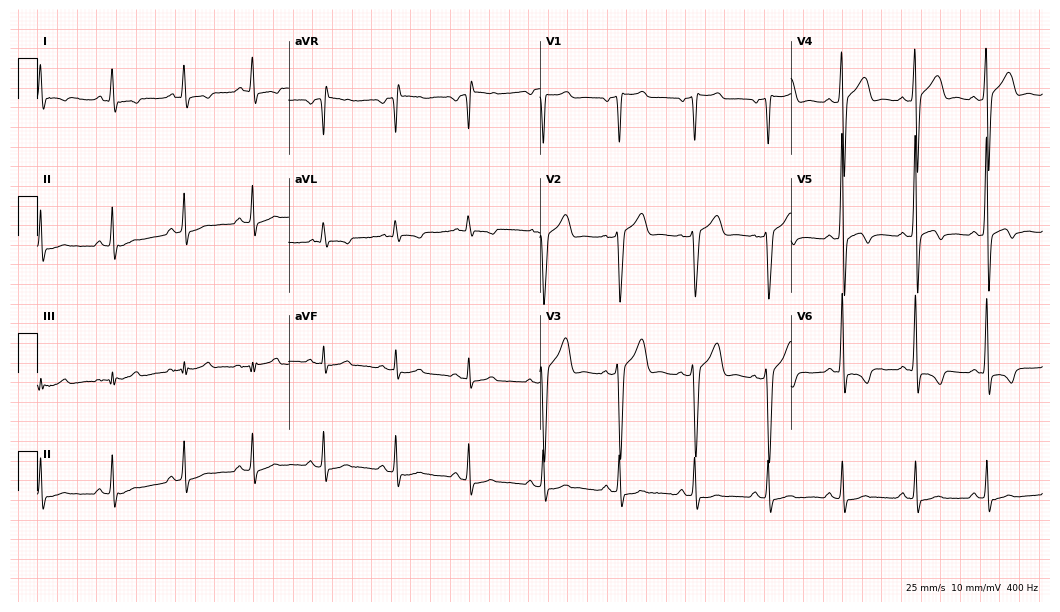
Resting 12-lead electrocardiogram. Patient: a 40-year-old male. None of these six findings is recorded: first-degree AV block, right bundle branch block, left bundle branch block, sinus bradycardia, atrial fibrillation, sinus tachycardia.